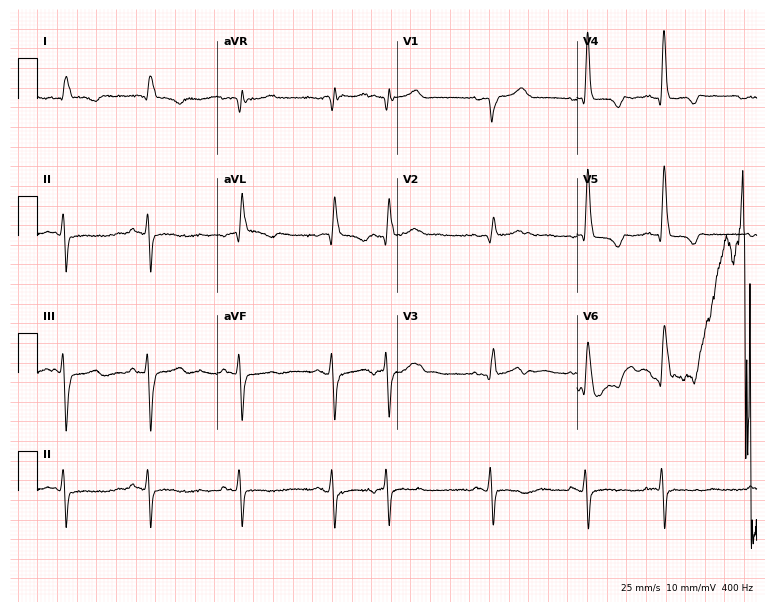
Electrocardiogram, an 84-year-old male. Of the six screened findings (first-degree AV block, right bundle branch block, left bundle branch block, sinus bradycardia, atrial fibrillation, sinus tachycardia), none is recorded. Only these six findings were labelled.